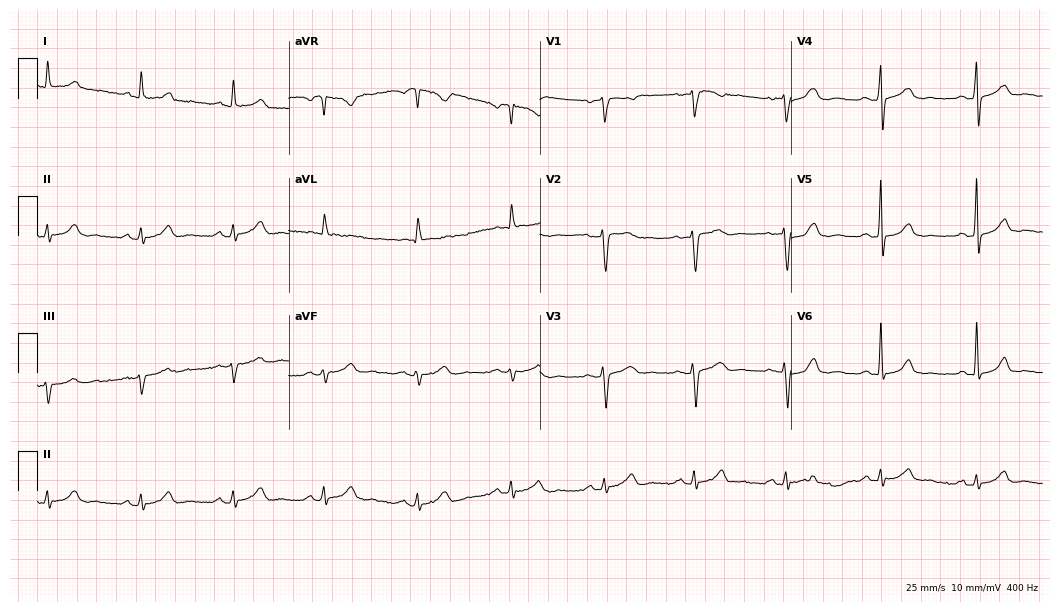
Standard 12-lead ECG recorded from a woman, 29 years old. Read as a normal ECG.